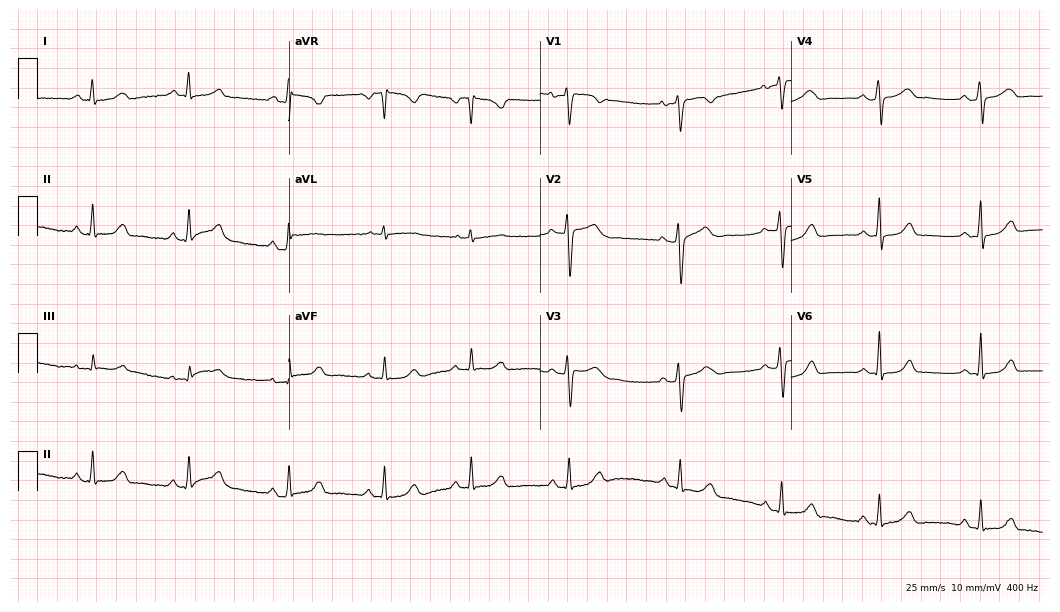
Standard 12-lead ECG recorded from a woman, 43 years old. Read as a normal ECG.